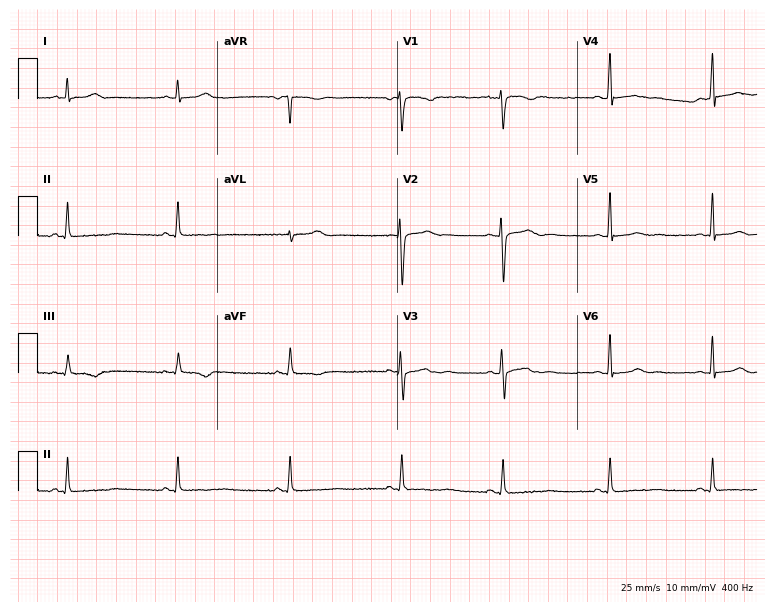
Resting 12-lead electrocardiogram (7.3-second recording at 400 Hz). Patient: a 29-year-old female. None of these six findings is recorded: first-degree AV block, right bundle branch block (RBBB), left bundle branch block (LBBB), sinus bradycardia, atrial fibrillation (AF), sinus tachycardia.